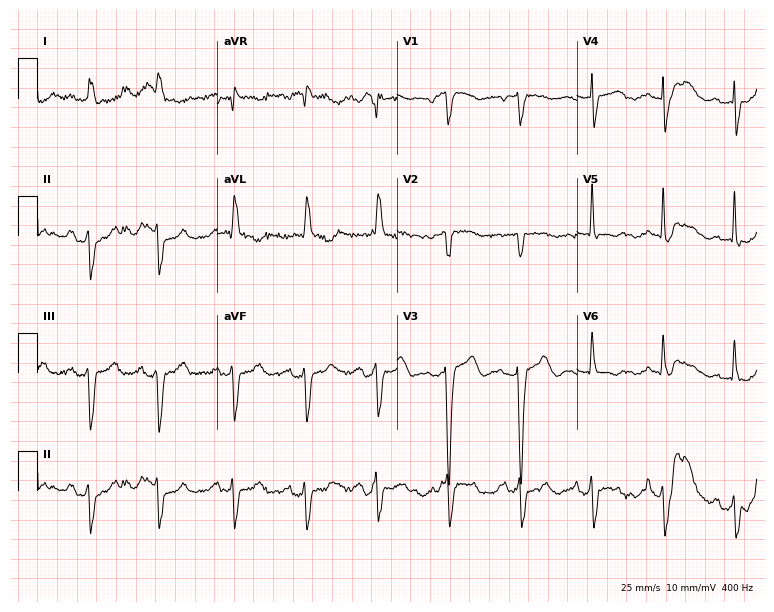
Electrocardiogram (7.3-second recording at 400 Hz), a 78-year-old male patient. Interpretation includes first-degree AV block.